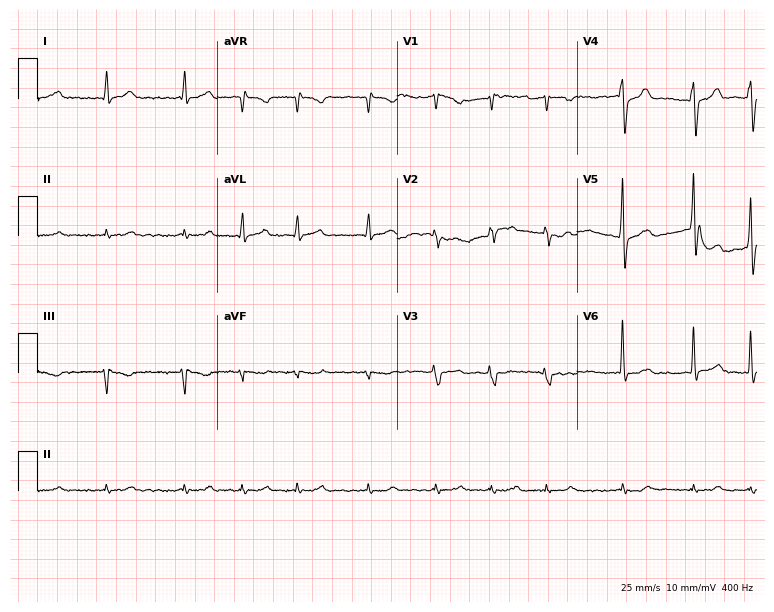
12-lead ECG from a man, 69 years old (7.3-second recording at 400 Hz). Shows atrial fibrillation.